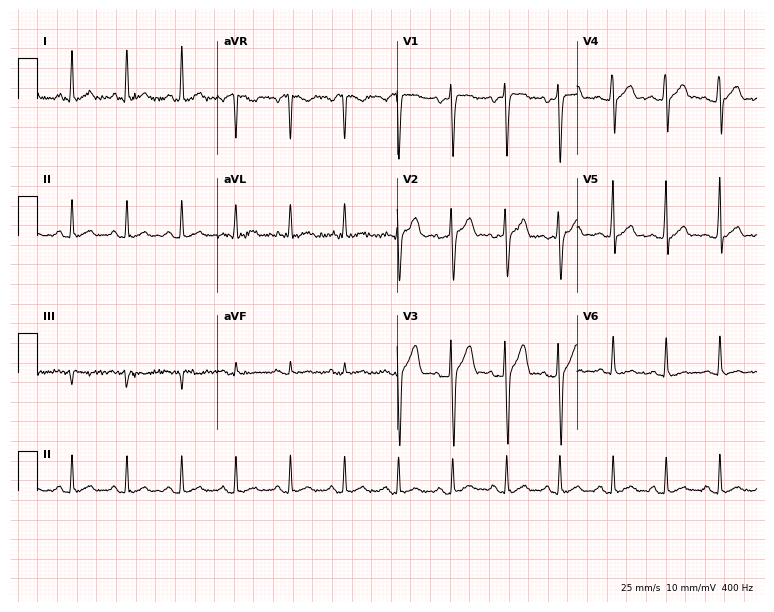
Standard 12-lead ECG recorded from a 27-year-old male (7.3-second recording at 400 Hz). None of these six findings is recorded: first-degree AV block, right bundle branch block, left bundle branch block, sinus bradycardia, atrial fibrillation, sinus tachycardia. Findings outside these six are not listed.